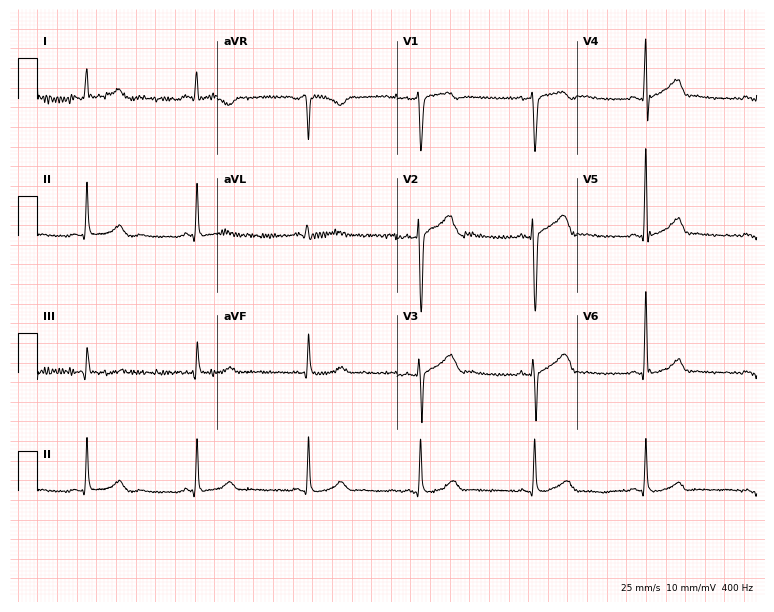
Resting 12-lead electrocardiogram (7.3-second recording at 400 Hz). Patient: a male, 60 years old. Read as a normal ECG.